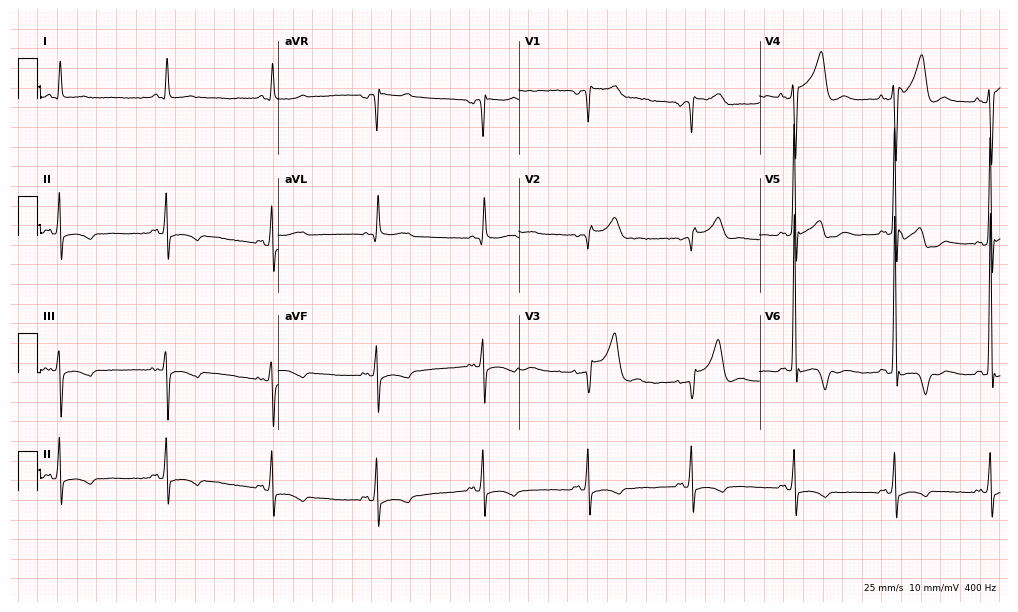
12-lead ECG from a male, 67 years old. Screened for six findings — first-degree AV block, right bundle branch block, left bundle branch block, sinus bradycardia, atrial fibrillation, sinus tachycardia — none is recorded.